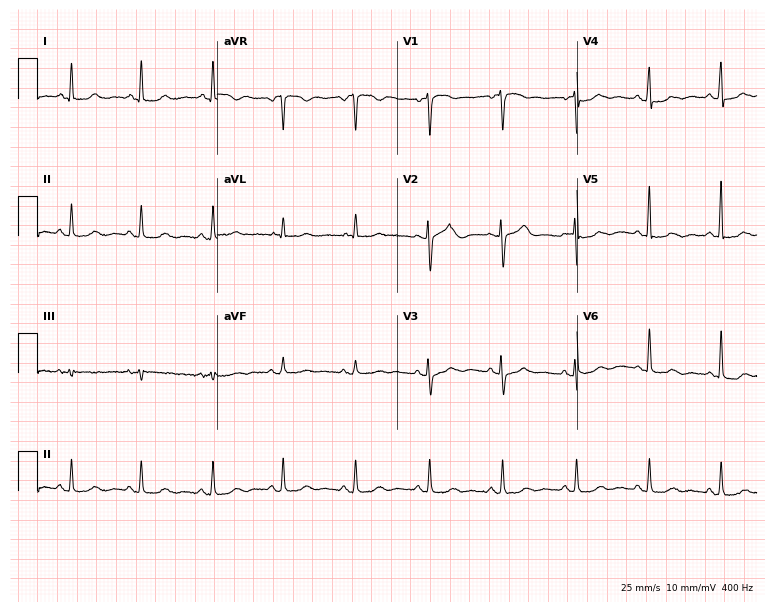
Resting 12-lead electrocardiogram. Patient: a woman, 72 years old. Read as a normal ECG.